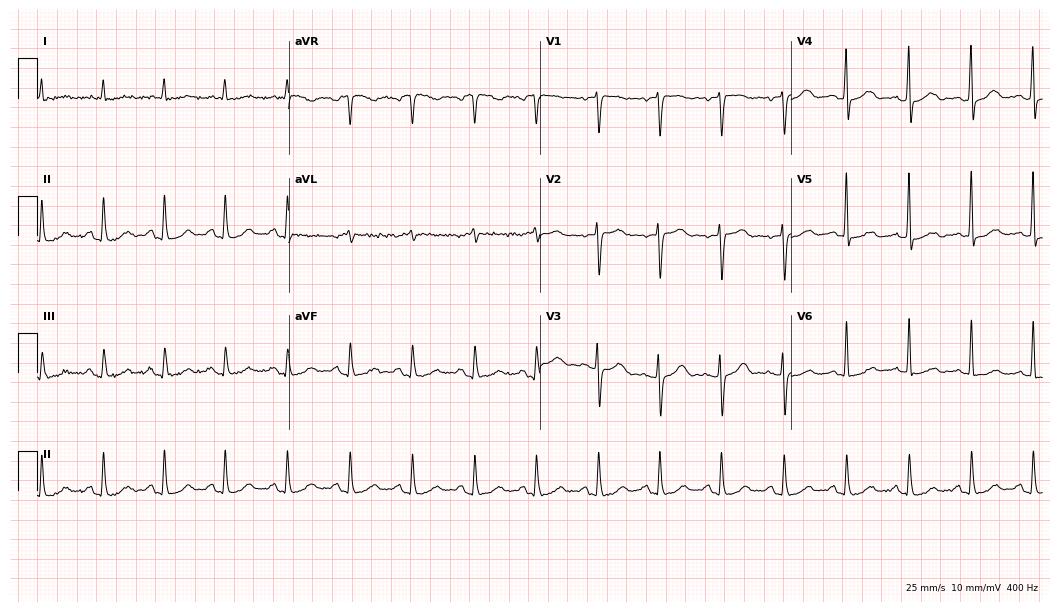
12-lead ECG from a 77-year-old female patient. Screened for six findings — first-degree AV block, right bundle branch block (RBBB), left bundle branch block (LBBB), sinus bradycardia, atrial fibrillation (AF), sinus tachycardia — none is recorded.